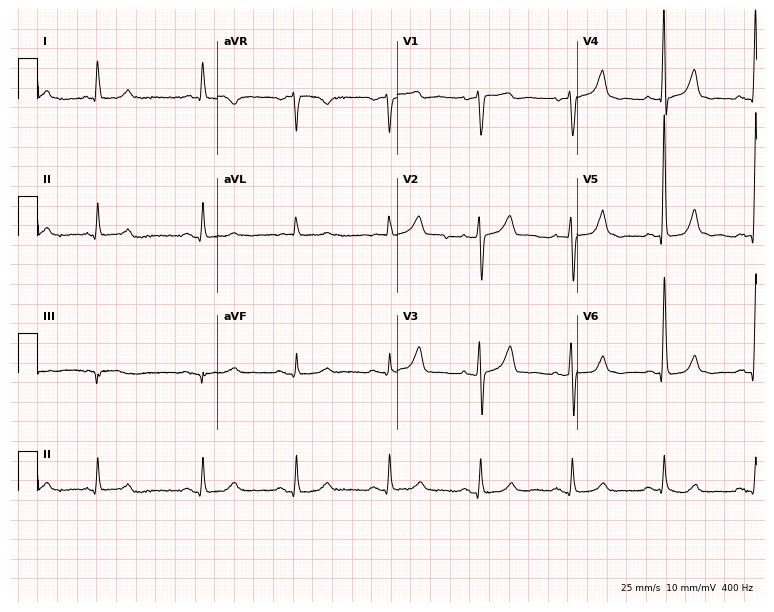
12-lead ECG from a male, 79 years old. No first-degree AV block, right bundle branch block, left bundle branch block, sinus bradycardia, atrial fibrillation or sinus tachycardia recorded for this tracing.